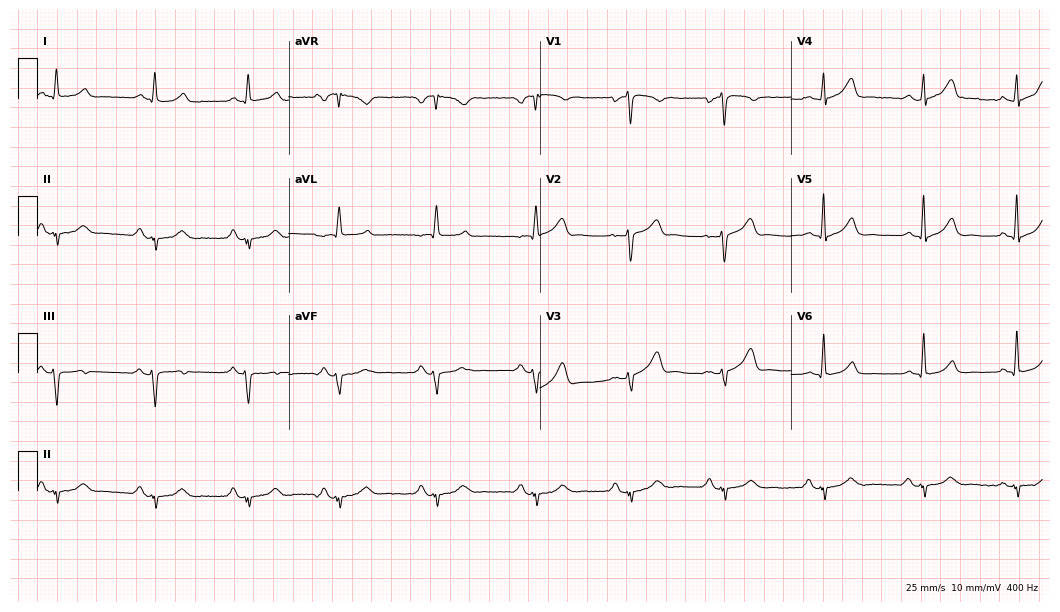
12-lead ECG (10.2-second recording at 400 Hz) from a 57-year-old man. Screened for six findings — first-degree AV block, right bundle branch block, left bundle branch block, sinus bradycardia, atrial fibrillation, sinus tachycardia — none is recorded.